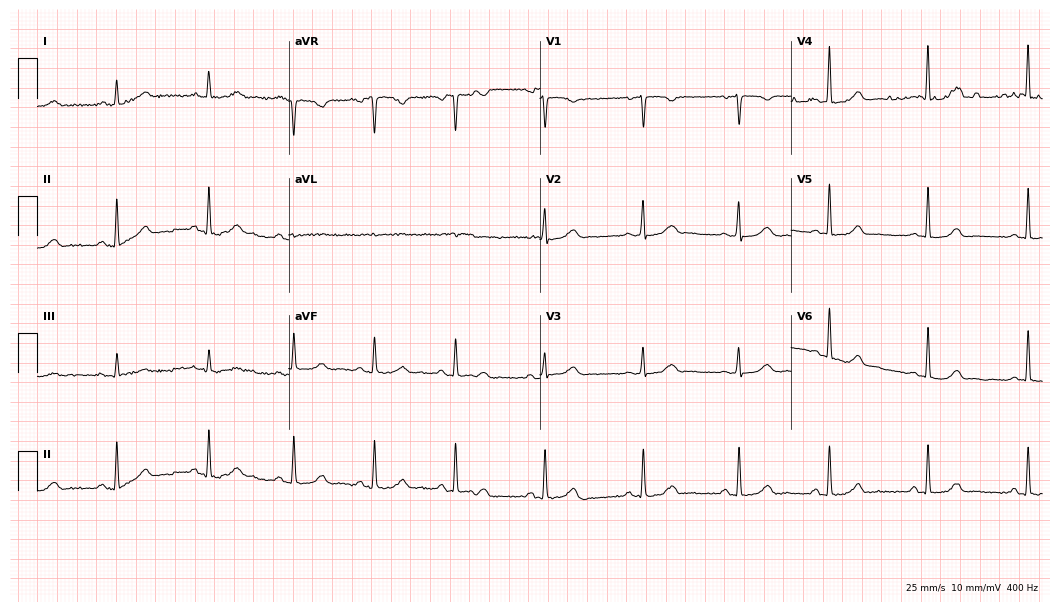
Standard 12-lead ECG recorded from a 41-year-old woman. Read as a normal ECG.